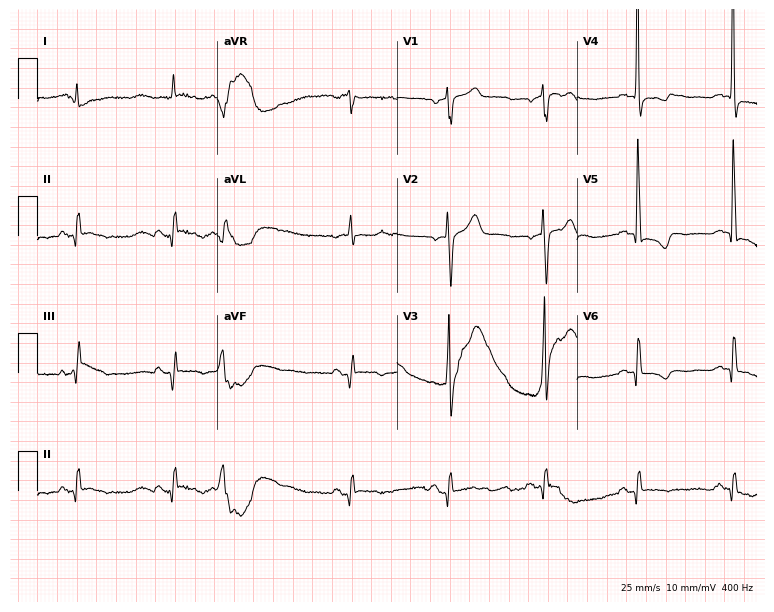
12-lead ECG (7.3-second recording at 400 Hz) from a 76-year-old male. Screened for six findings — first-degree AV block, right bundle branch block, left bundle branch block, sinus bradycardia, atrial fibrillation, sinus tachycardia — none is recorded. Findings outside these six are not listed.